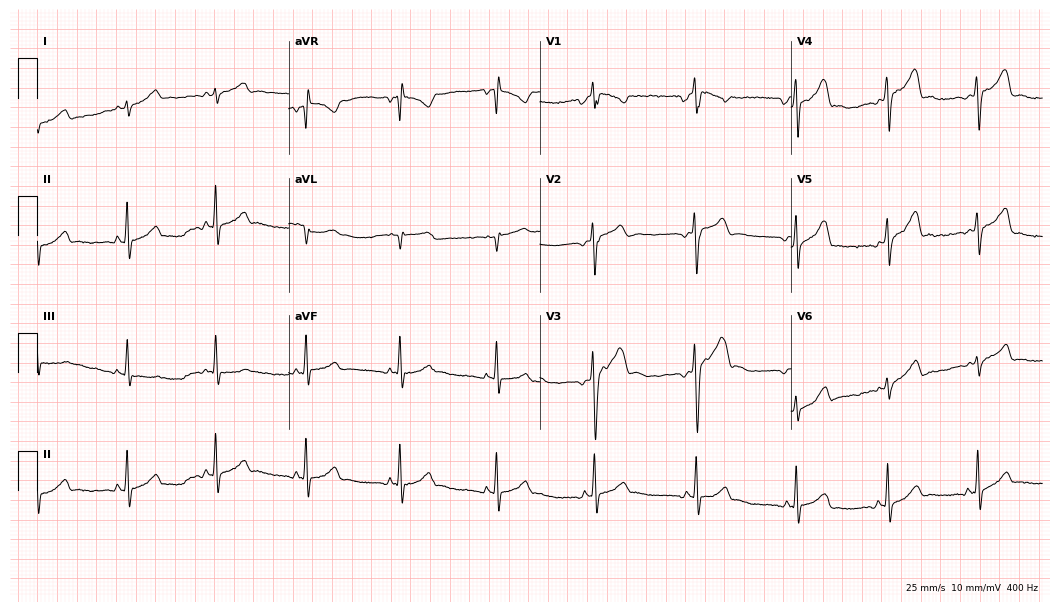
12-lead ECG from a male patient, 19 years old. Recorded interpretation: within normal limits.